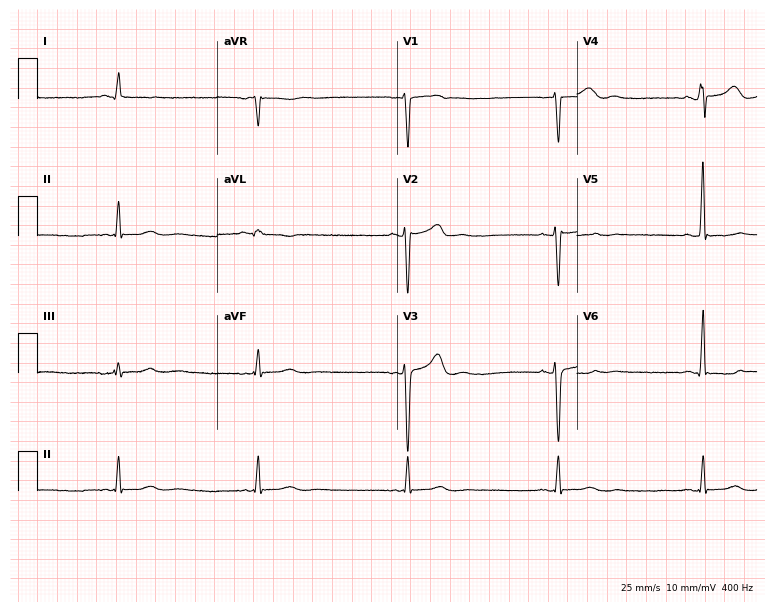
Standard 12-lead ECG recorded from a 35-year-old man (7.3-second recording at 400 Hz). The tracing shows sinus bradycardia (a sinus rate of 50 beats per minute or less).